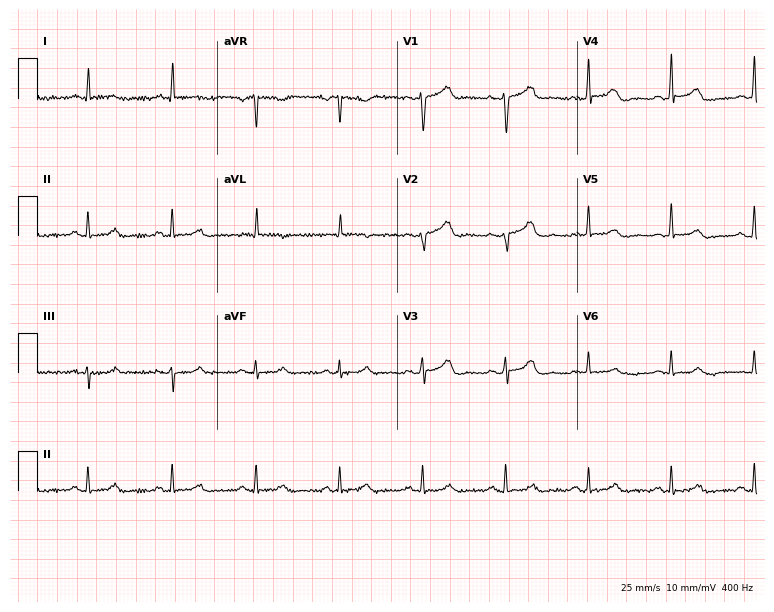
Standard 12-lead ECG recorded from a 63-year-old female (7.3-second recording at 400 Hz). None of these six findings is recorded: first-degree AV block, right bundle branch block (RBBB), left bundle branch block (LBBB), sinus bradycardia, atrial fibrillation (AF), sinus tachycardia.